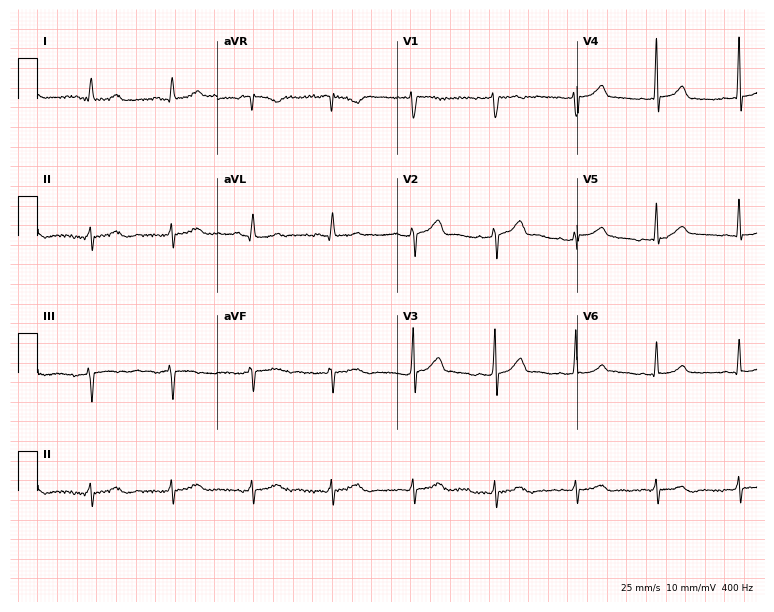
12-lead ECG from a female patient, 41 years old. No first-degree AV block, right bundle branch block, left bundle branch block, sinus bradycardia, atrial fibrillation or sinus tachycardia recorded for this tracing. Other findings, if any, are not listed.